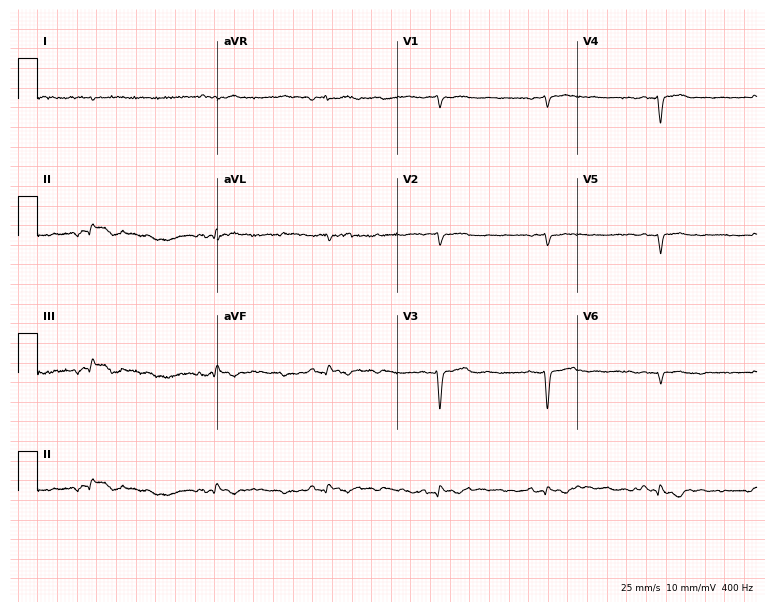
12-lead ECG from a male, 82 years old. No first-degree AV block, right bundle branch block (RBBB), left bundle branch block (LBBB), sinus bradycardia, atrial fibrillation (AF) or sinus tachycardia recorded for this tracing. Only these six findings were labelled.